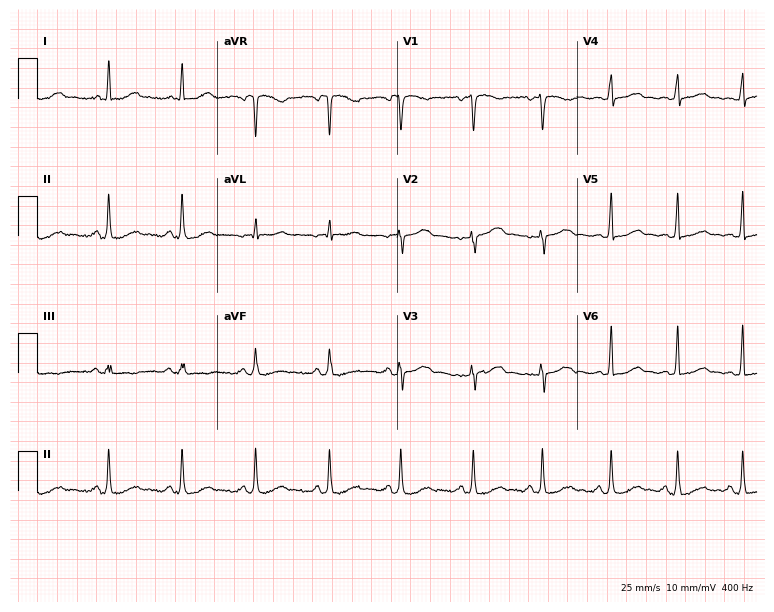
12-lead ECG from a female, 37 years old (7.3-second recording at 400 Hz). No first-degree AV block, right bundle branch block, left bundle branch block, sinus bradycardia, atrial fibrillation or sinus tachycardia recorded for this tracing. Findings outside these six are not listed.